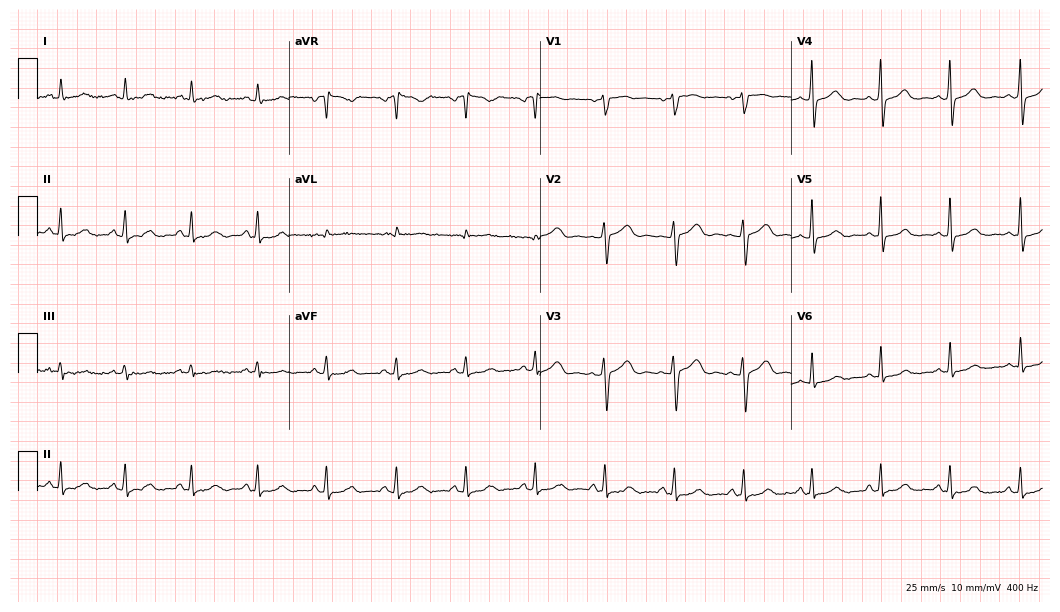
Resting 12-lead electrocardiogram (10.2-second recording at 400 Hz). Patient: a woman, 45 years old. None of these six findings is recorded: first-degree AV block, right bundle branch block, left bundle branch block, sinus bradycardia, atrial fibrillation, sinus tachycardia.